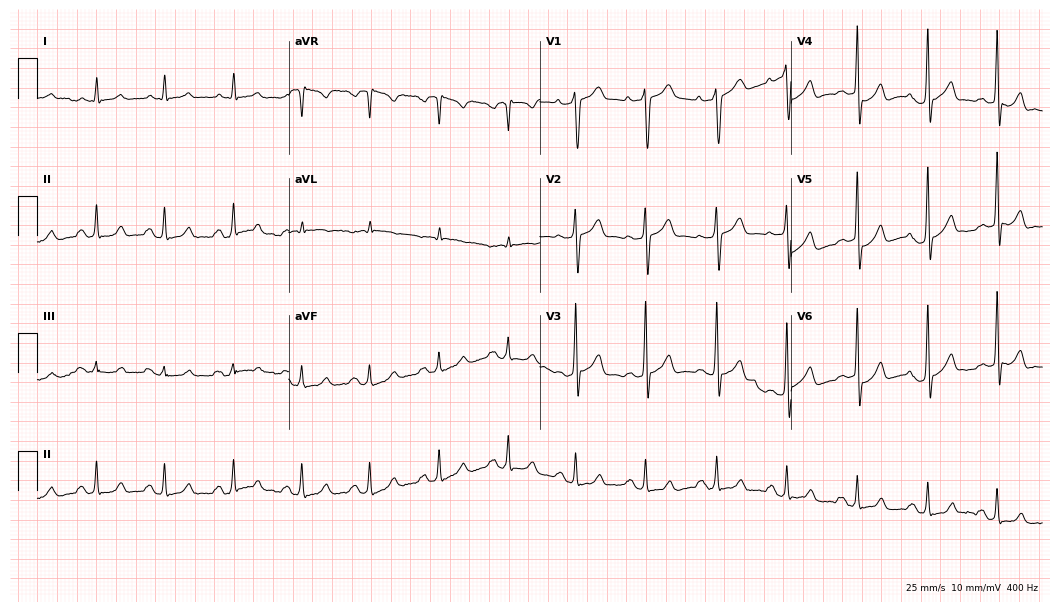
ECG — a male, 63 years old. Screened for six findings — first-degree AV block, right bundle branch block, left bundle branch block, sinus bradycardia, atrial fibrillation, sinus tachycardia — none is recorded.